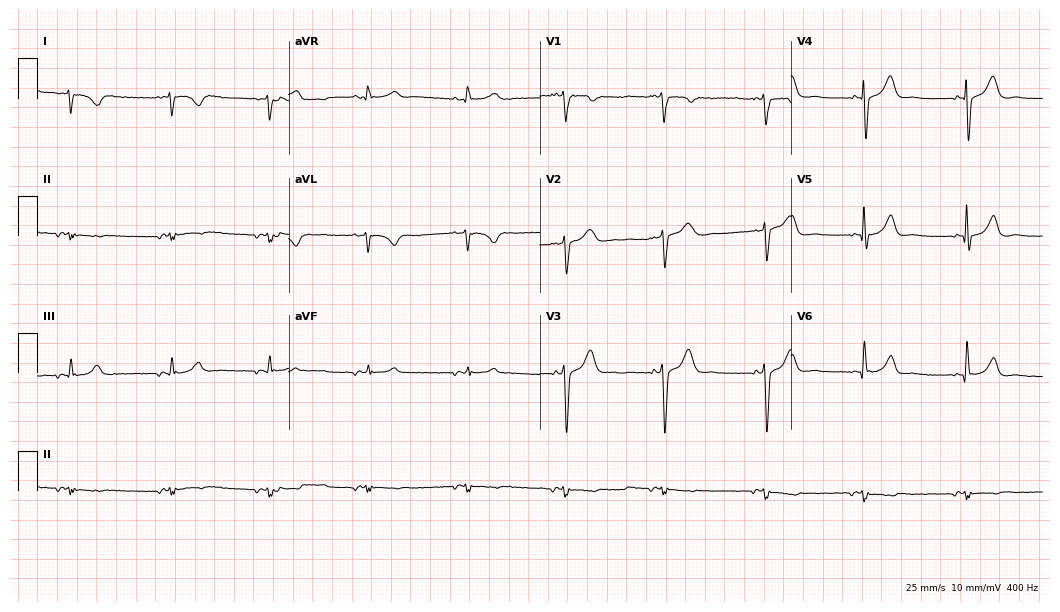
12-lead ECG from a male patient, 72 years old (10.2-second recording at 400 Hz). No first-degree AV block, right bundle branch block, left bundle branch block, sinus bradycardia, atrial fibrillation or sinus tachycardia recorded for this tracing. Other findings, if any, are not listed.